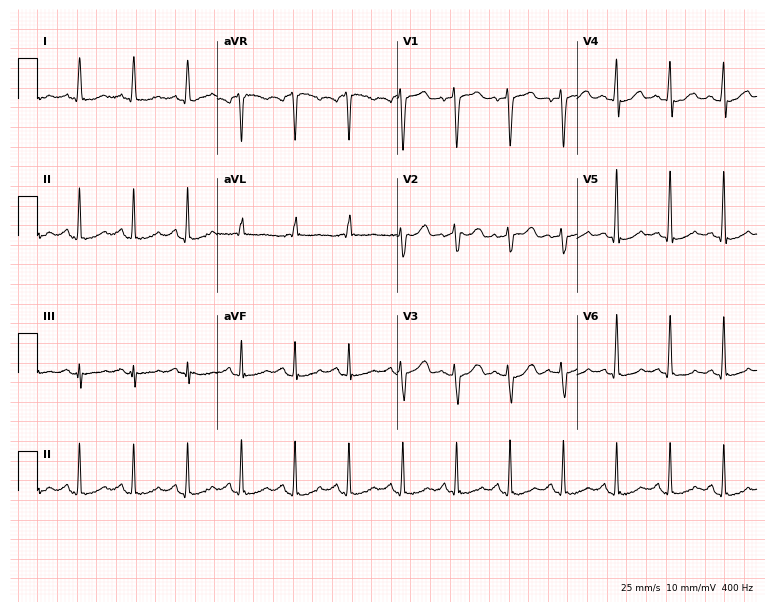
Standard 12-lead ECG recorded from a 58-year-old female patient. None of these six findings is recorded: first-degree AV block, right bundle branch block, left bundle branch block, sinus bradycardia, atrial fibrillation, sinus tachycardia.